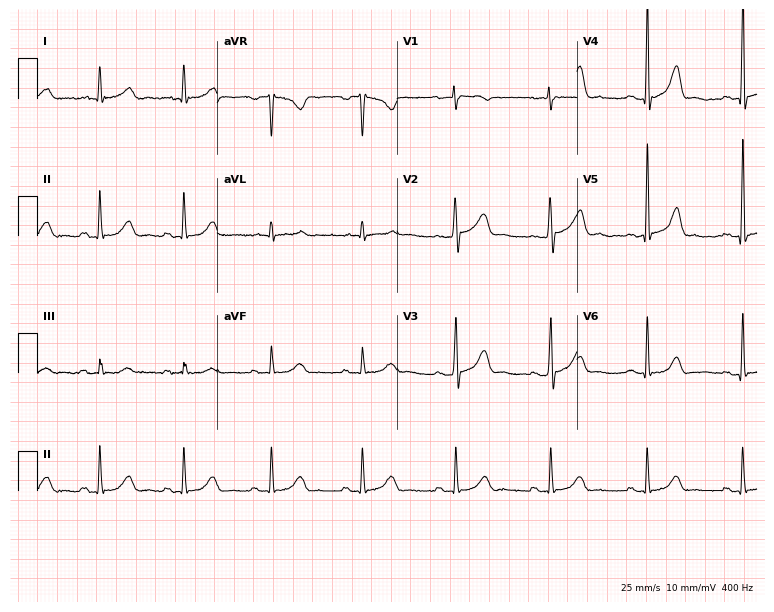
12-lead ECG from a woman, 55 years old. No first-degree AV block, right bundle branch block (RBBB), left bundle branch block (LBBB), sinus bradycardia, atrial fibrillation (AF) or sinus tachycardia recorded for this tracing. Other findings, if any, are not listed.